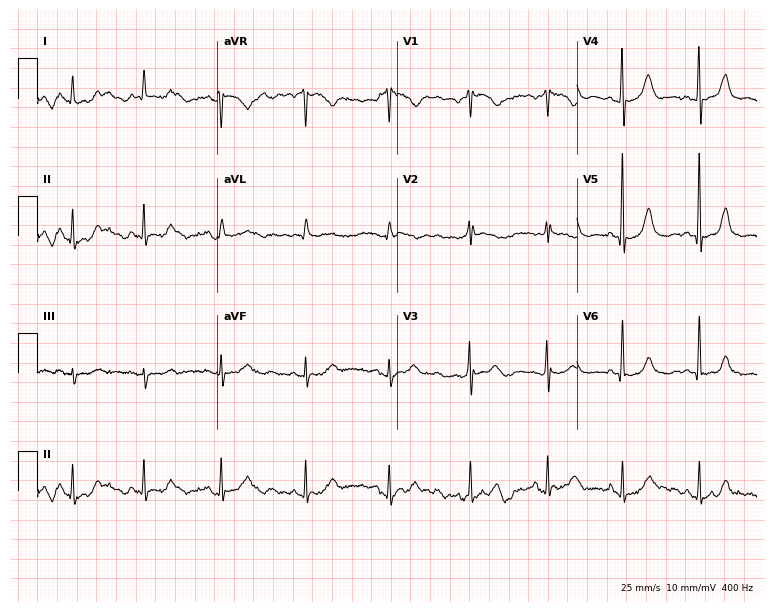
Standard 12-lead ECG recorded from a 77-year-old female. None of these six findings is recorded: first-degree AV block, right bundle branch block (RBBB), left bundle branch block (LBBB), sinus bradycardia, atrial fibrillation (AF), sinus tachycardia.